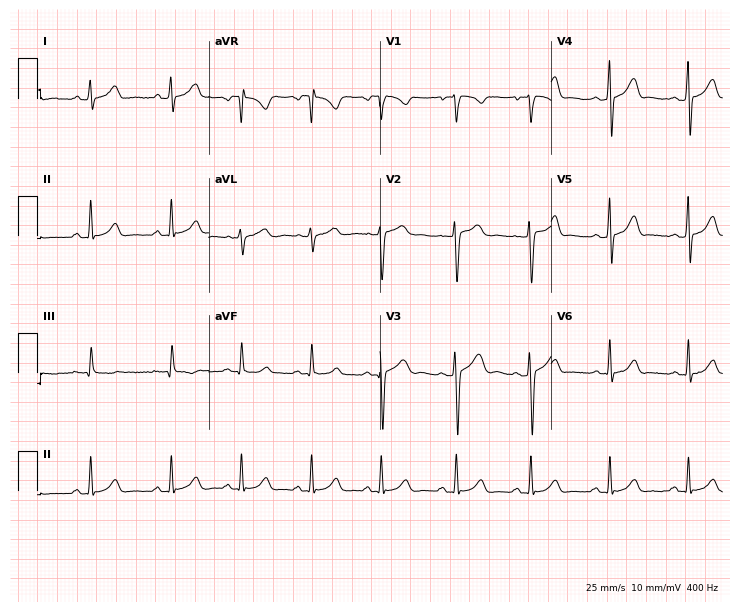
Electrocardiogram, a female, 17 years old. Overall reading on record: normal ECG.